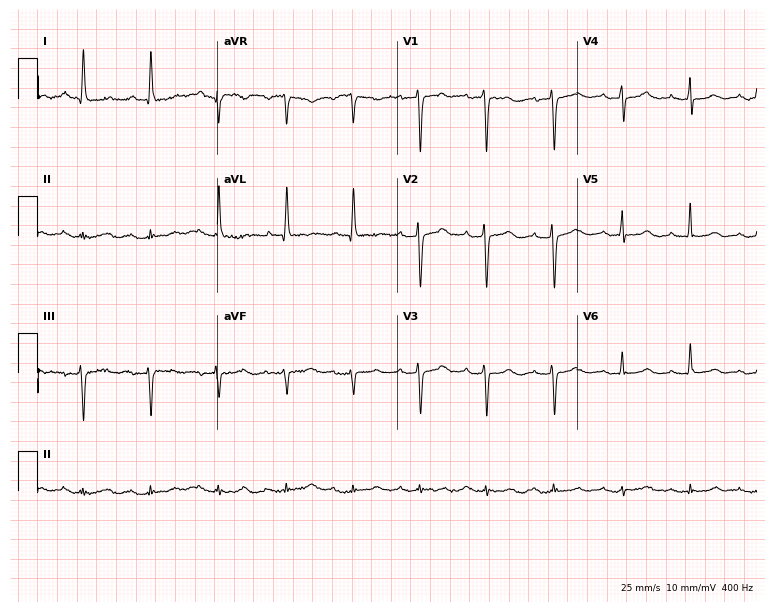
Standard 12-lead ECG recorded from a female patient aged 90 or older (7.3-second recording at 400 Hz). None of these six findings is recorded: first-degree AV block, right bundle branch block, left bundle branch block, sinus bradycardia, atrial fibrillation, sinus tachycardia.